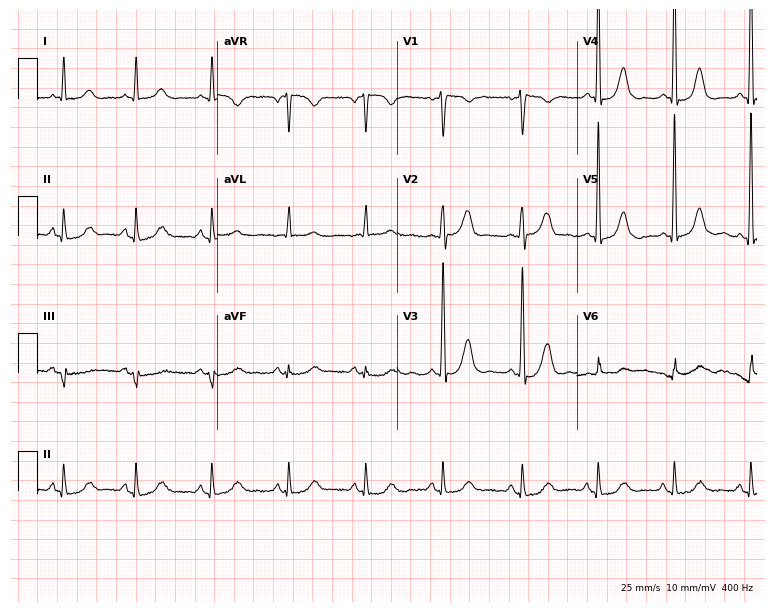
12-lead ECG (7.3-second recording at 400 Hz) from a man, 78 years old. Screened for six findings — first-degree AV block, right bundle branch block (RBBB), left bundle branch block (LBBB), sinus bradycardia, atrial fibrillation (AF), sinus tachycardia — none is recorded. Findings outside these six are not listed.